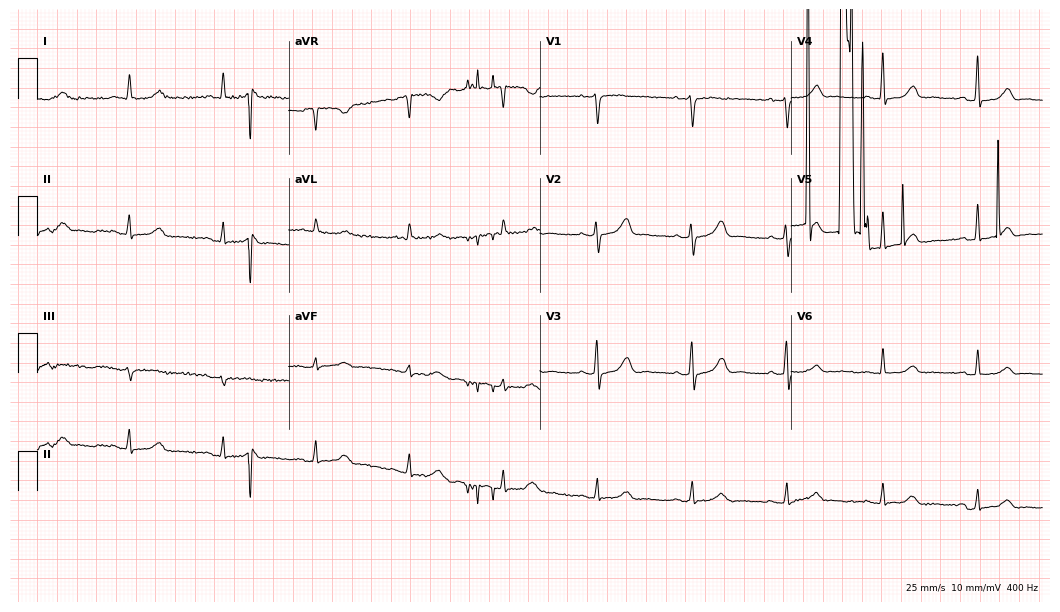
12-lead ECG from a female, 59 years old. No first-degree AV block, right bundle branch block, left bundle branch block, sinus bradycardia, atrial fibrillation or sinus tachycardia recorded for this tracing. Other findings, if any, are not listed.